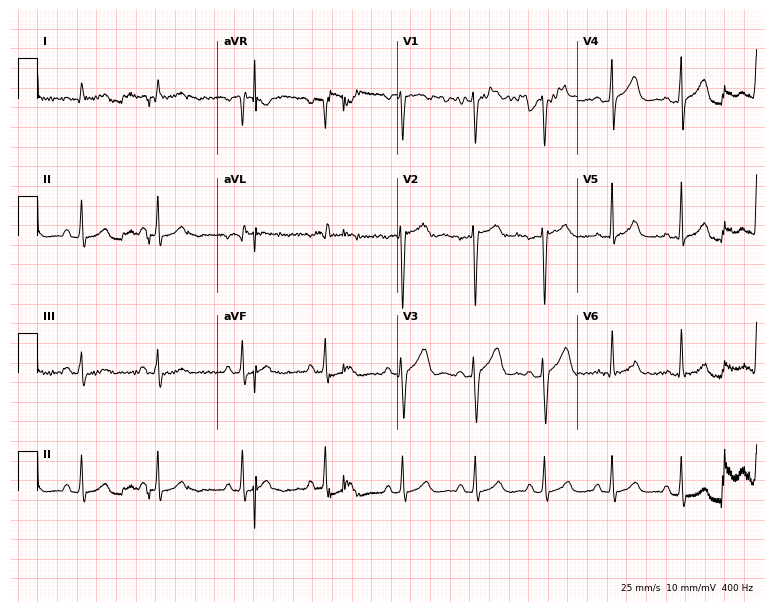
Standard 12-lead ECG recorded from a male patient, 28 years old (7.3-second recording at 400 Hz). Read as a normal ECG.